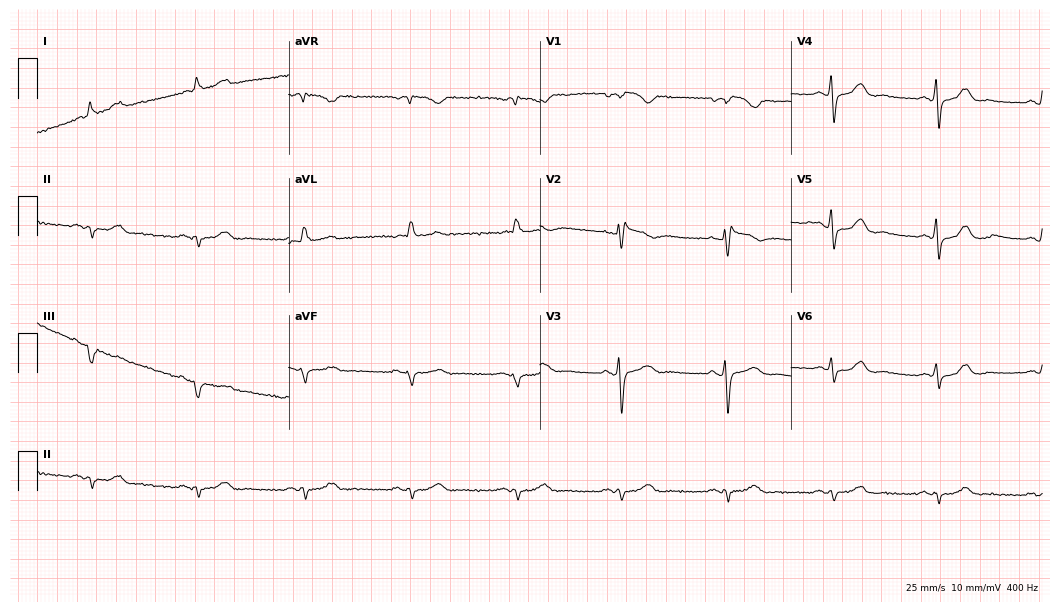
Resting 12-lead electrocardiogram (10.2-second recording at 400 Hz). Patient: a 70-year-old female. None of these six findings is recorded: first-degree AV block, right bundle branch block (RBBB), left bundle branch block (LBBB), sinus bradycardia, atrial fibrillation (AF), sinus tachycardia. Other findings, if any, are not listed.